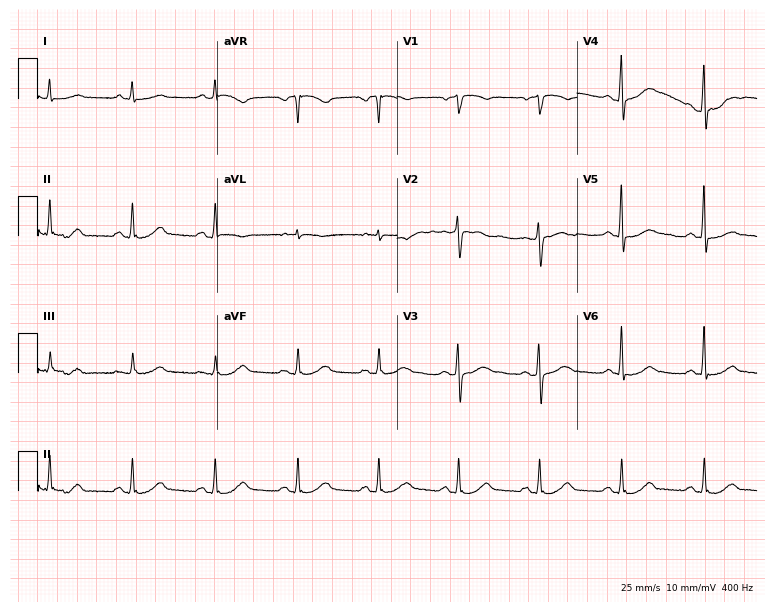
ECG — a 62-year-old man. Labelled as a normal ECG.